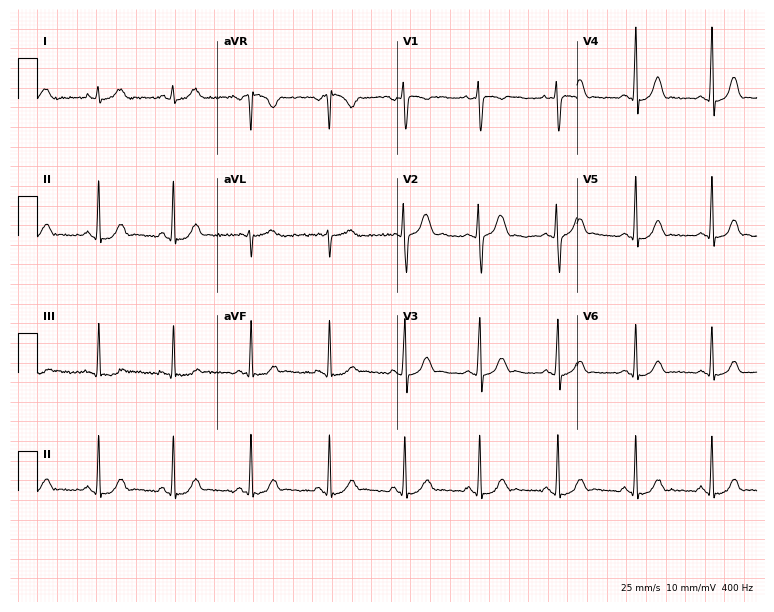
ECG (7.3-second recording at 400 Hz) — a 22-year-old female. Labelled as a normal ECG.